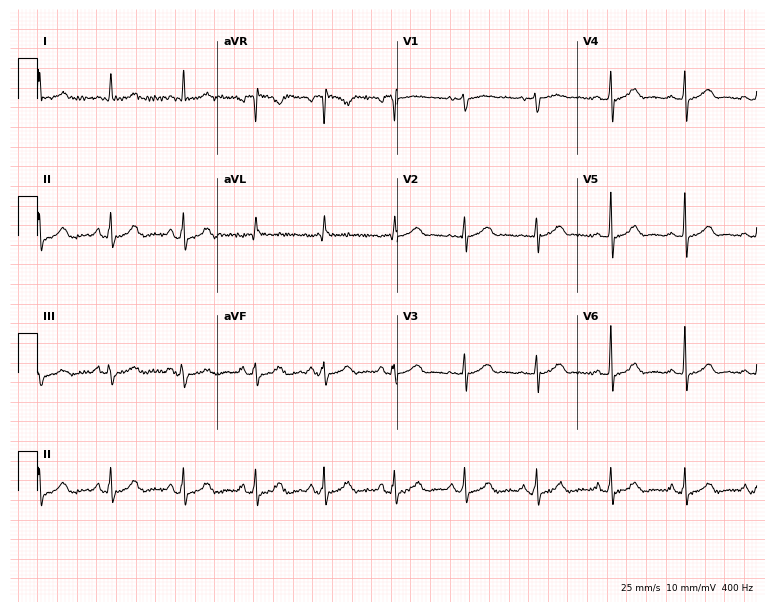
ECG — a female, 59 years old. Labelled as a normal ECG.